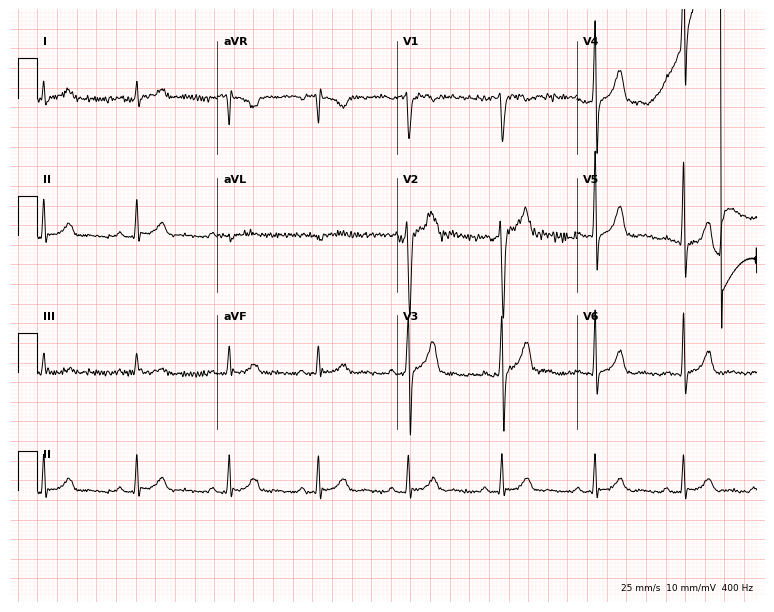
12-lead ECG from a 40-year-old male. Screened for six findings — first-degree AV block, right bundle branch block (RBBB), left bundle branch block (LBBB), sinus bradycardia, atrial fibrillation (AF), sinus tachycardia — none is recorded.